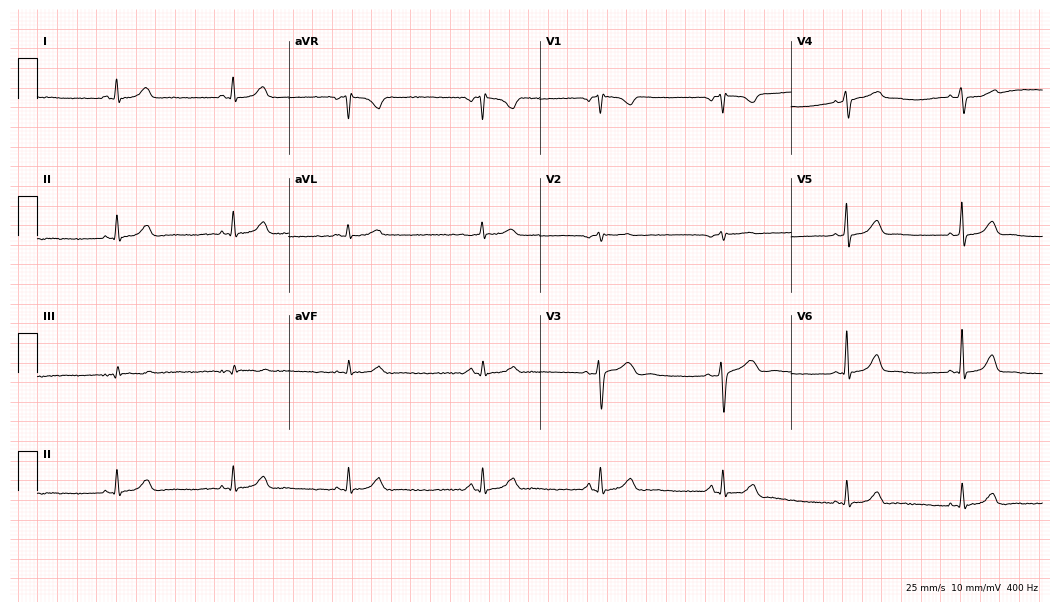
ECG — a woman, 28 years old. Findings include sinus bradycardia (a sinus rate of 50 beats per minute or less).